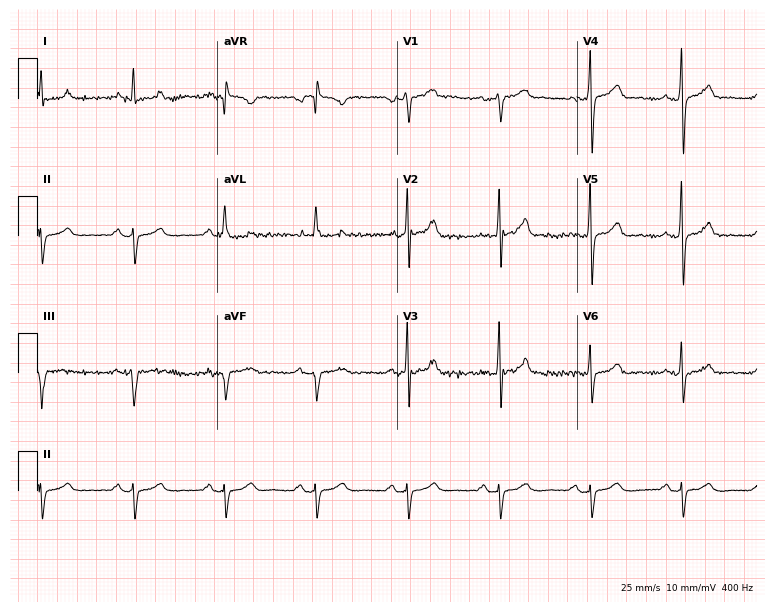
ECG (7.3-second recording at 400 Hz) — a male, 51 years old. Screened for six findings — first-degree AV block, right bundle branch block (RBBB), left bundle branch block (LBBB), sinus bradycardia, atrial fibrillation (AF), sinus tachycardia — none is recorded.